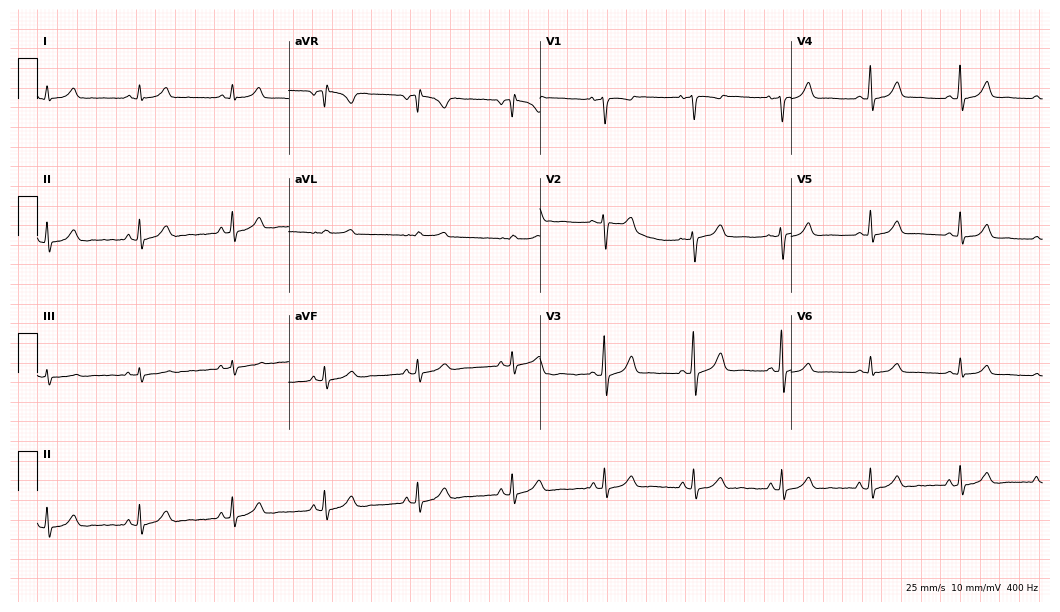
Standard 12-lead ECG recorded from a 37-year-old female (10.2-second recording at 400 Hz). Read as a normal ECG.